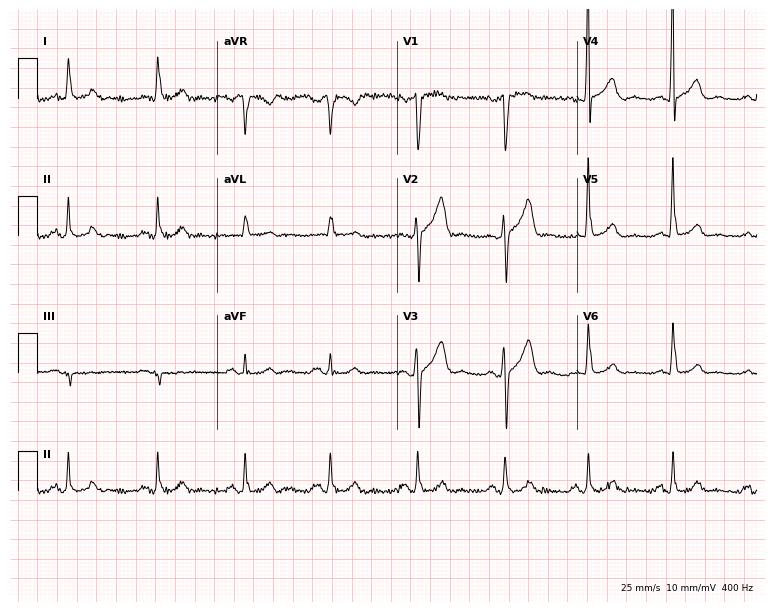
Standard 12-lead ECG recorded from a 69-year-old male (7.3-second recording at 400 Hz). Read as a normal ECG.